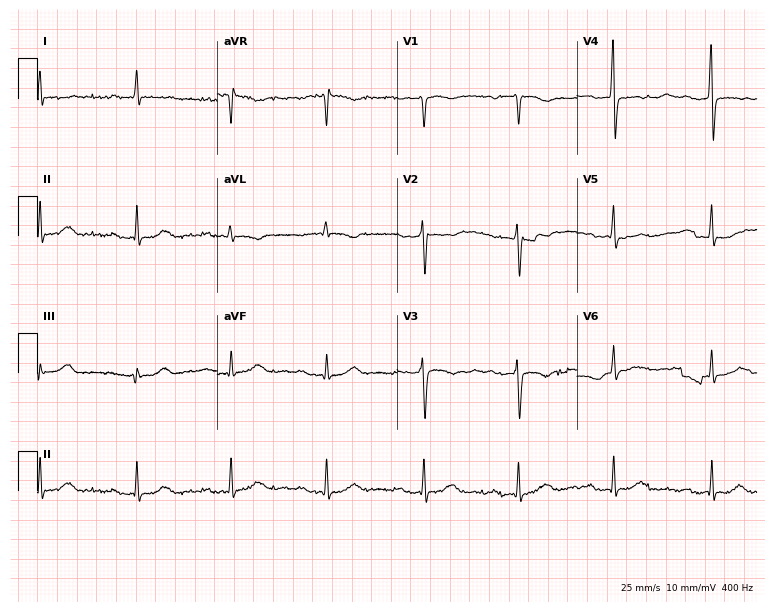
Electrocardiogram, a 74-year-old female patient. Interpretation includes first-degree AV block.